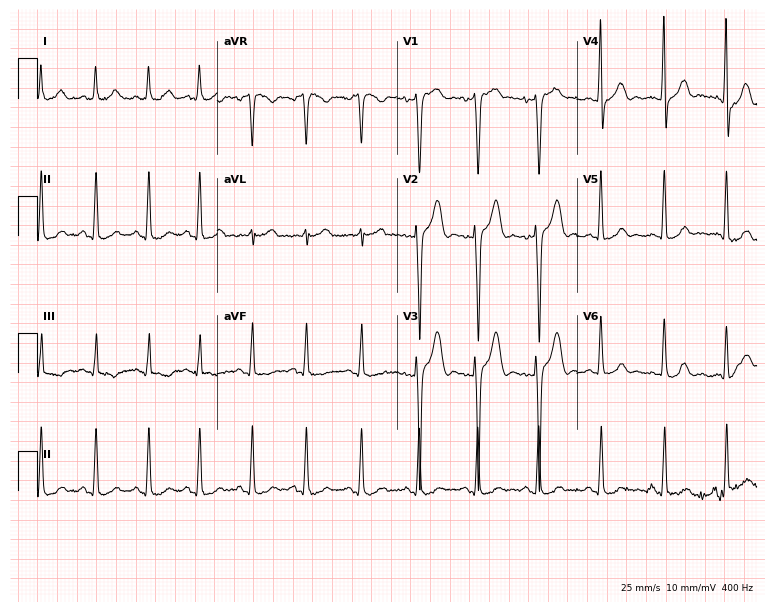
Resting 12-lead electrocardiogram. Patient: a male, 28 years old. The tracing shows sinus tachycardia (a sinus rate of 100 beats per minute or more).